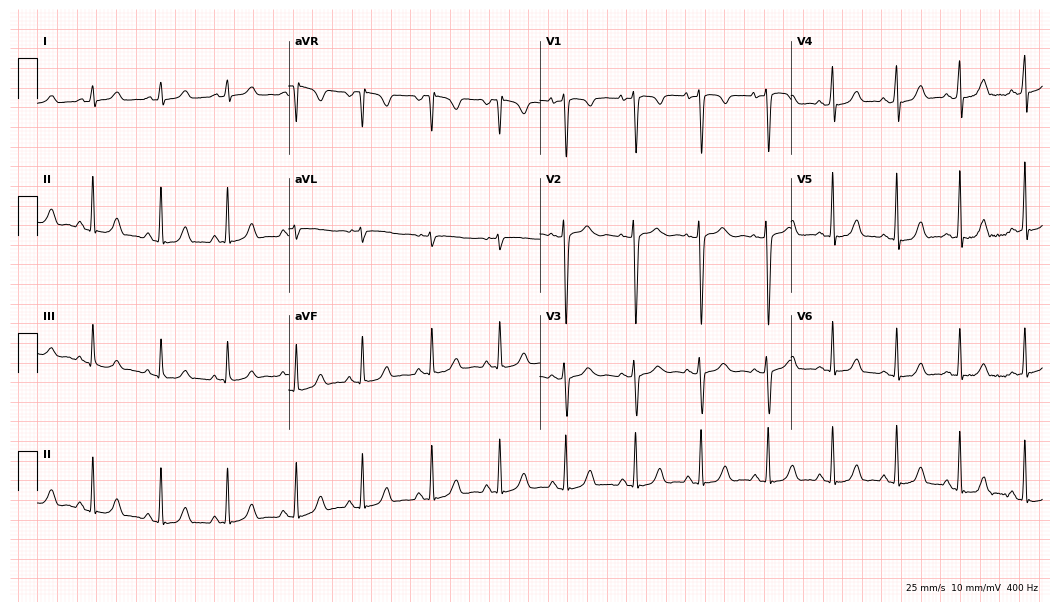
ECG — a female, 21 years old. Labelled as a normal ECG.